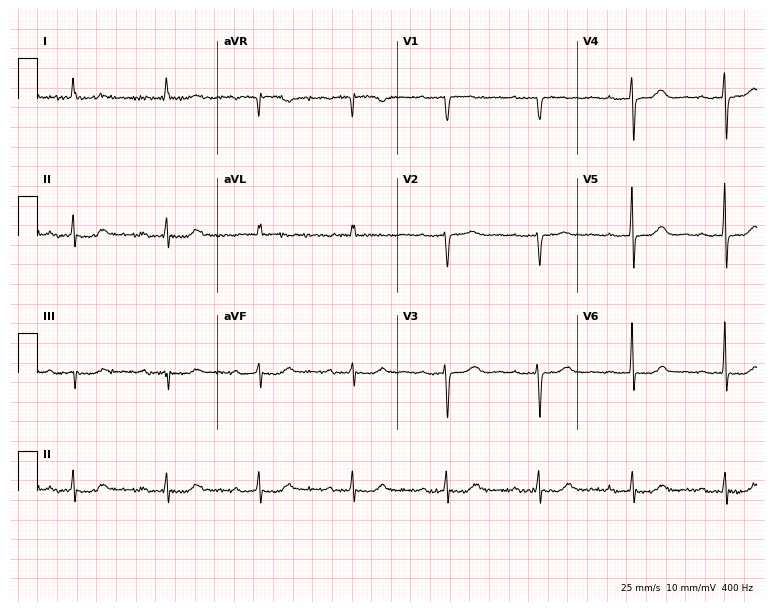
Electrocardiogram, an 84-year-old female. Overall reading on record: normal ECG.